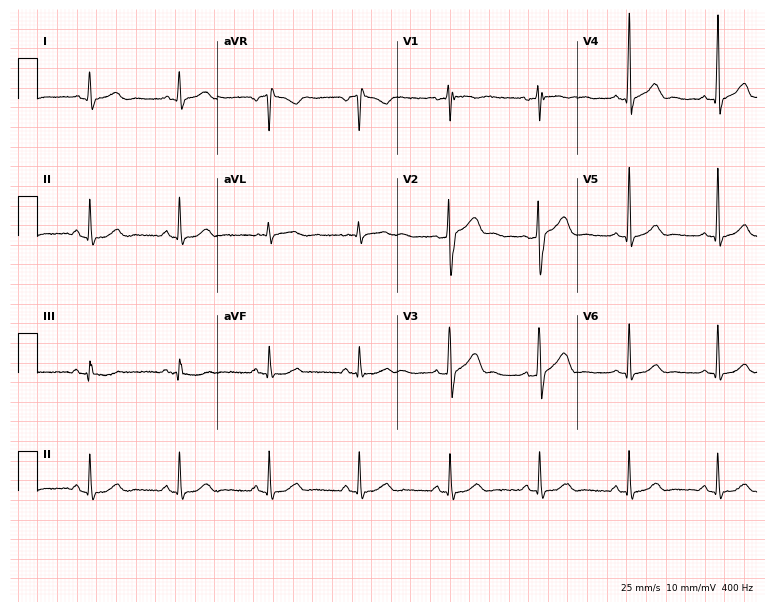
12-lead ECG from a male patient, 37 years old. Labelled as a normal ECG.